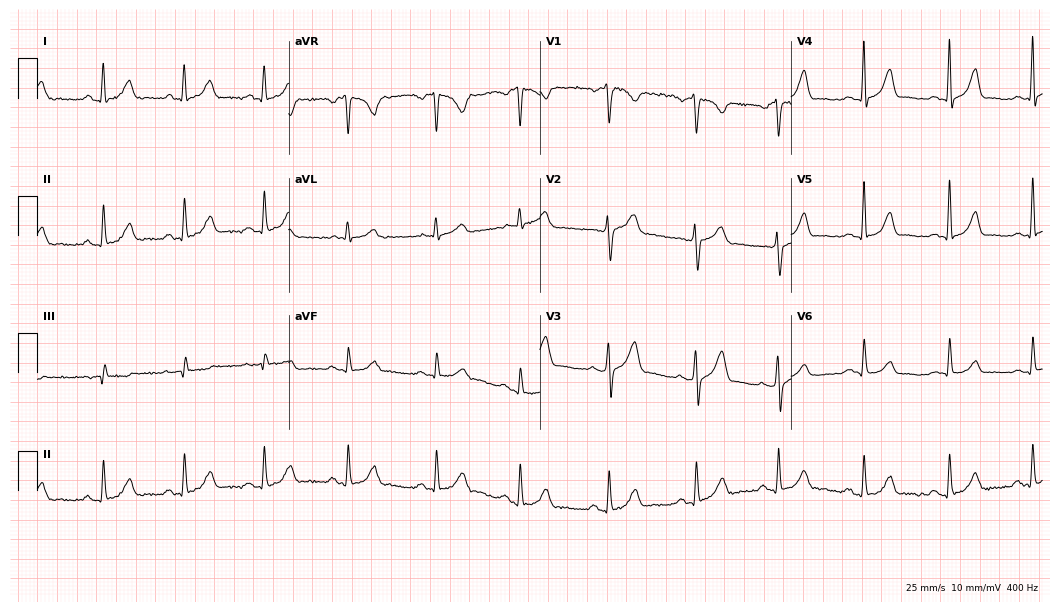
Standard 12-lead ECG recorded from a 23-year-old female. Read as a normal ECG.